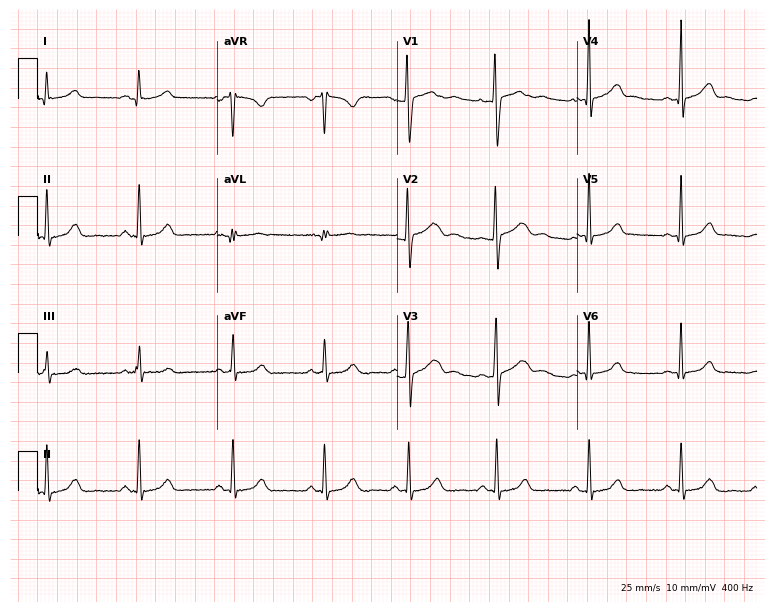
Electrocardiogram, a female patient, 22 years old. Overall reading on record: normal ECG.